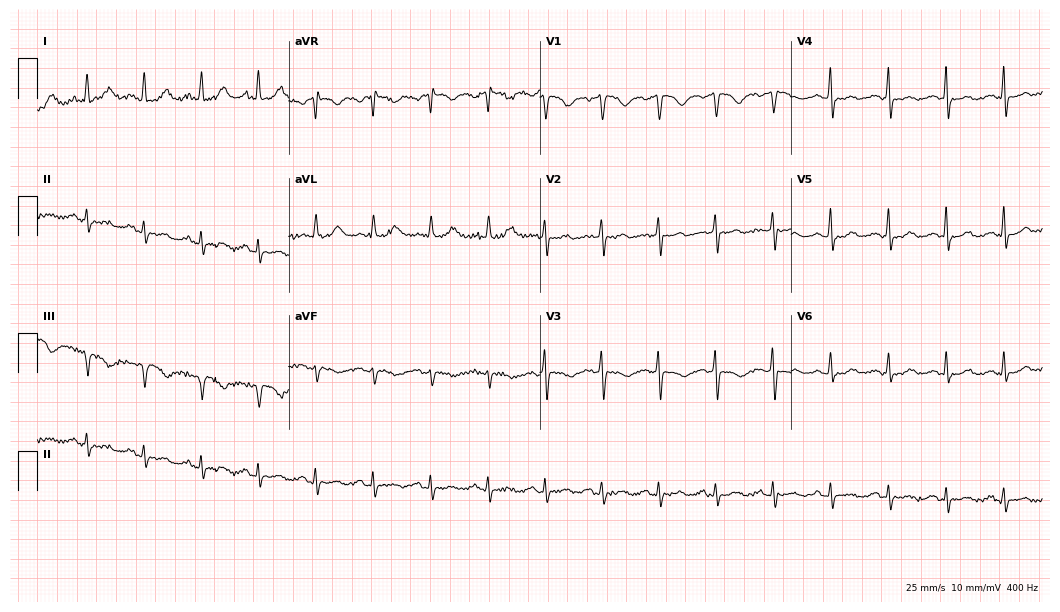
12-lead ECG from a 64-year-old female. Findings include sinus tachycardia (a sinus rate of 100 beats per minute or more).